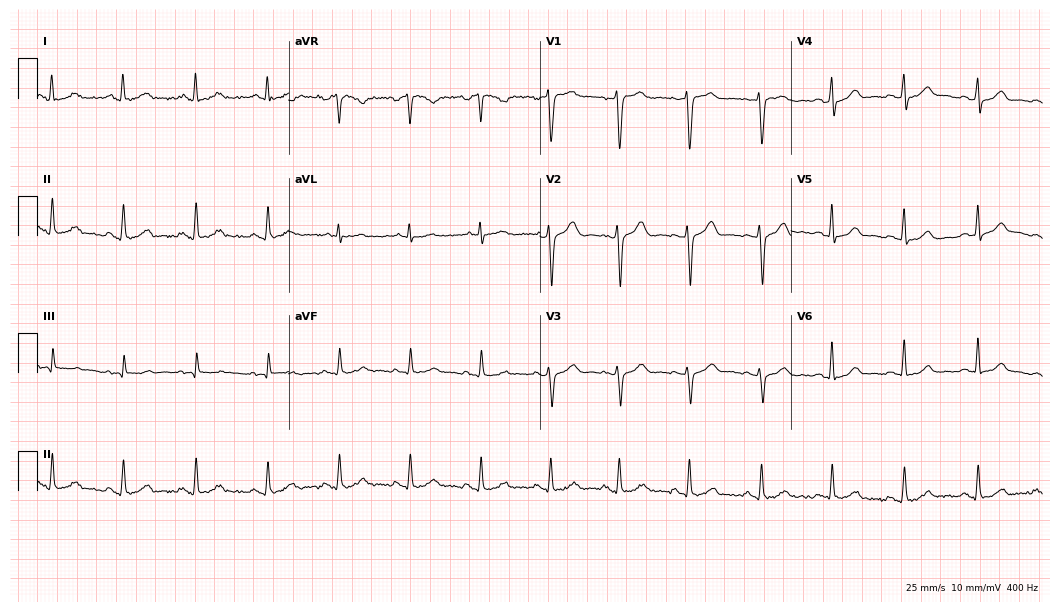
12-lead ECG (10.2-second recording at 400 Hz) from a female patient, 45 years old. Labelled as a normal ECG.